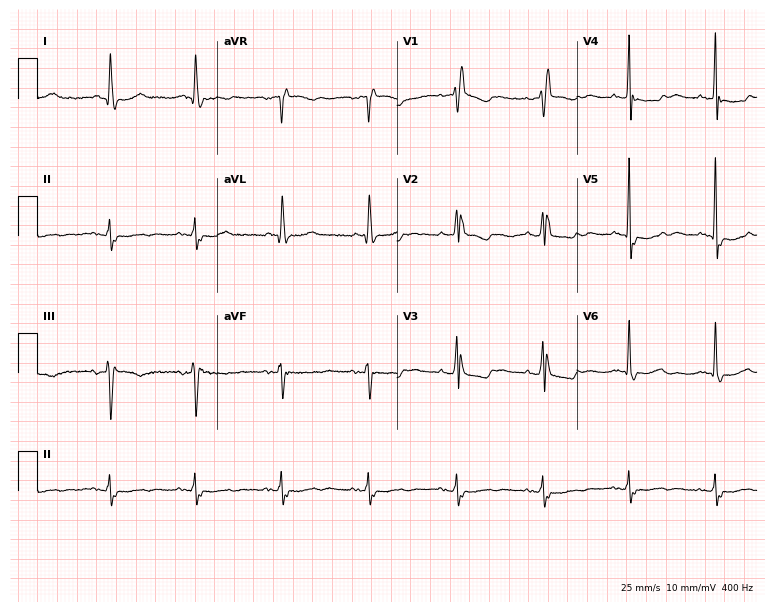
12-lead ECG from a 62-year-old female patient (7.3-second recording at 400 Hz). Shows right bundle branch block (RBBB).